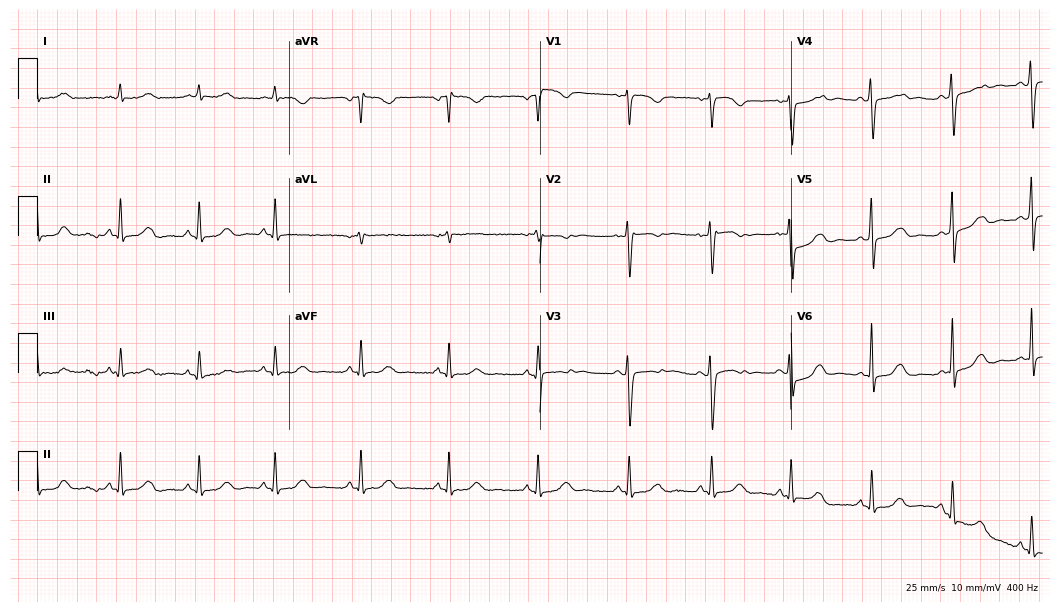
12-lead ECG from a 49-year-old woman. No first-degree AV block, right bundle branch block, left bundle branch block, sinus bradycardia, atrial fibrillation or sinus tachycardia recorded for this tracing. Findings outside these six are not listed.